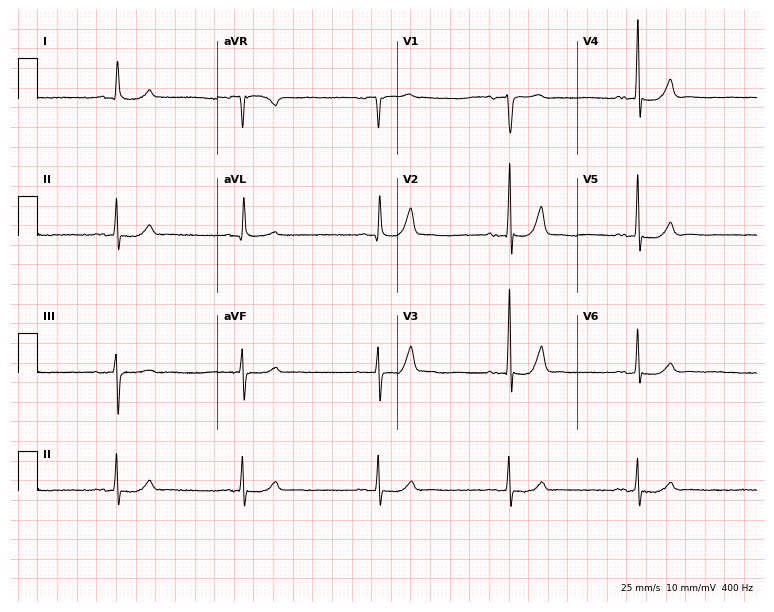
ECG — a man, 77 years old. Findings include sinus bradycardia (a sinus rate of 50 beats per minute or less).